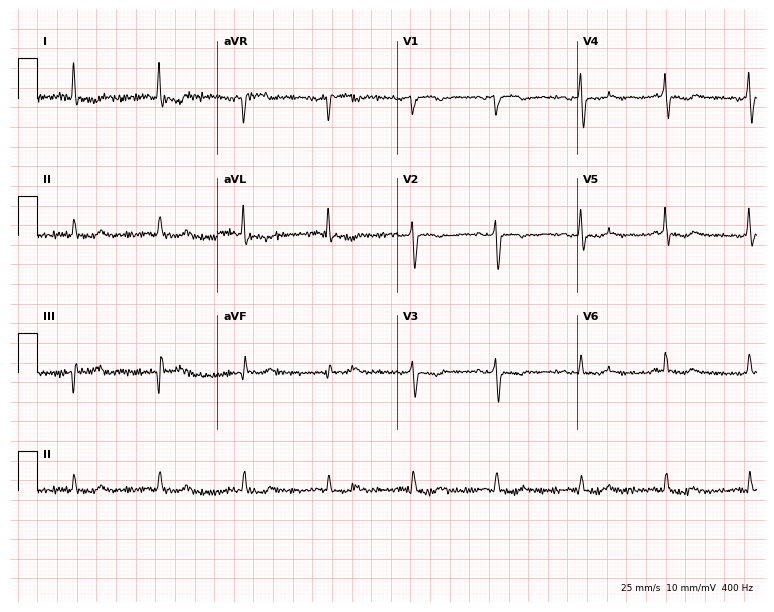
Resting 12-lead electrocardiogram. Patient: a female, 85 years old. None of these six findings is recorded: first-degree AV block, right bundle branch block, left bundle branch block, sinus bradycardia, atrial fibrillation, sinus tachycardia. Findings outside these six are not listed.